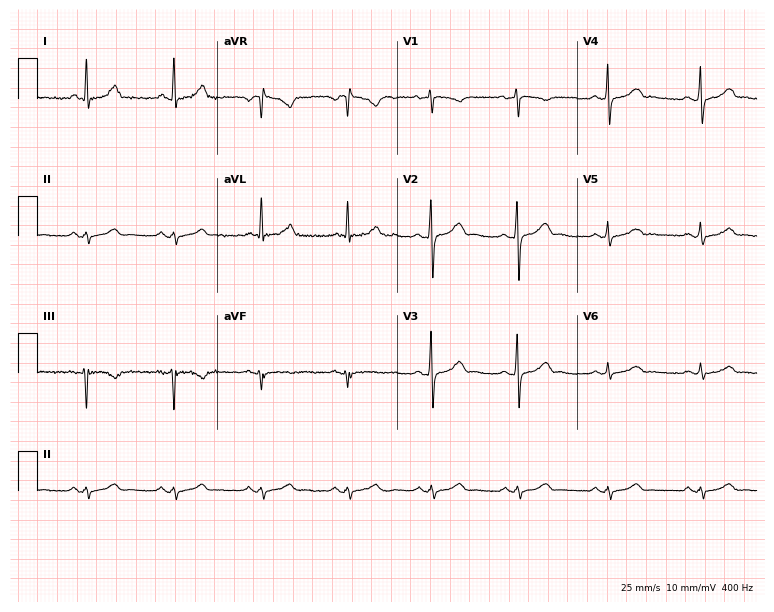
12-lead ECG from a 45-year-old male patient (7.3-second recording at 400 Hz). No first-degree AV block, right bundle branch block, left bundle branch block, sinus bradycardia, atrial fibrillation or sinus tachycardia recorded for this tracing. Only these six findings were labelled.